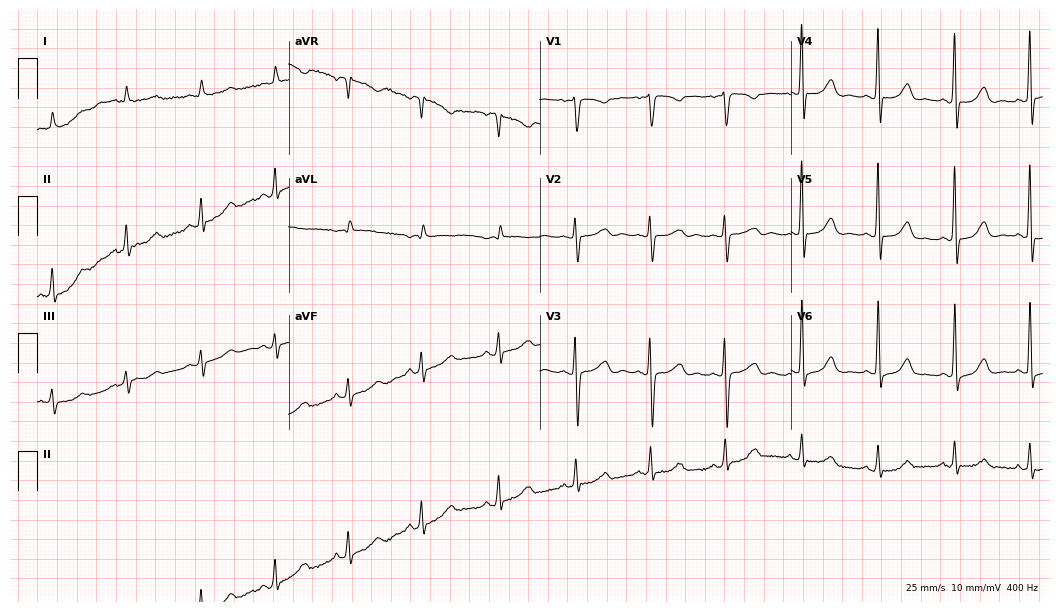
Resting 12-lead electrocardiogram. Patient: a 52-year-old female. Read as a normal ECG.